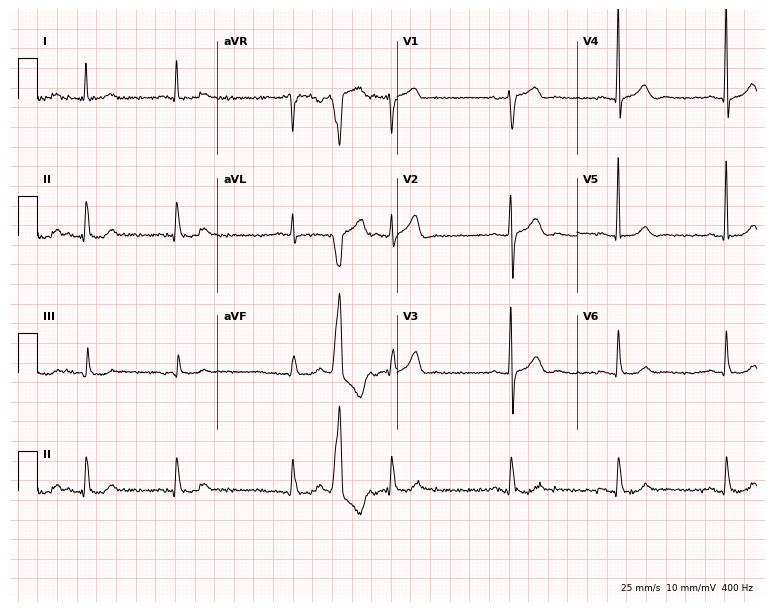
Electrocardiogram (7.3-second recording at 400 Hz), a 71-year-old male patient. Of the six screened findings (first-degree AV block, right bundle branch block, left bundle branch block, sinus bradycardia, atrial fibrillation, sinus tachycardia), none is recorded.